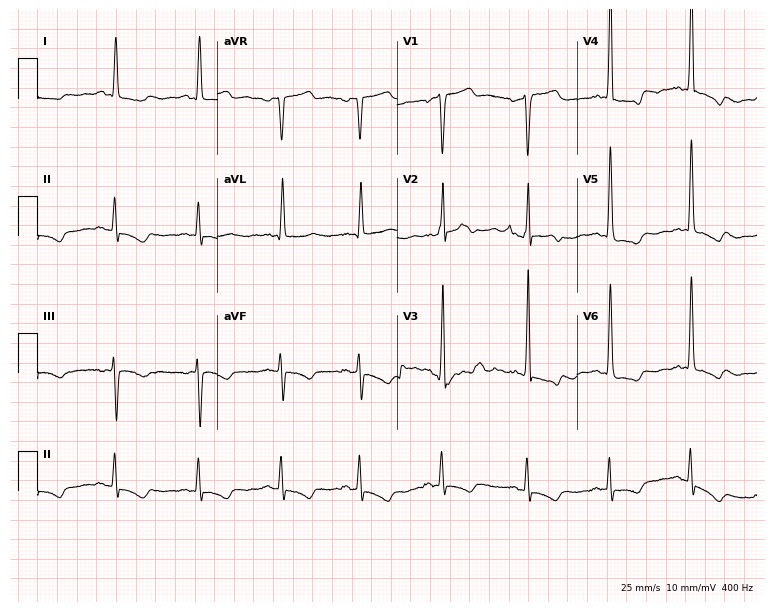
12-lead ECG from a female patient, 69 years old. Screened for six findings — first-degree AV block, right bundle branch block (RBBB), left bundle branch block (LBBB), sinus bradycardia, atrial fibrillation (AF), sinus tachycardia — none is recorded. Other findings, if any, are not listed.